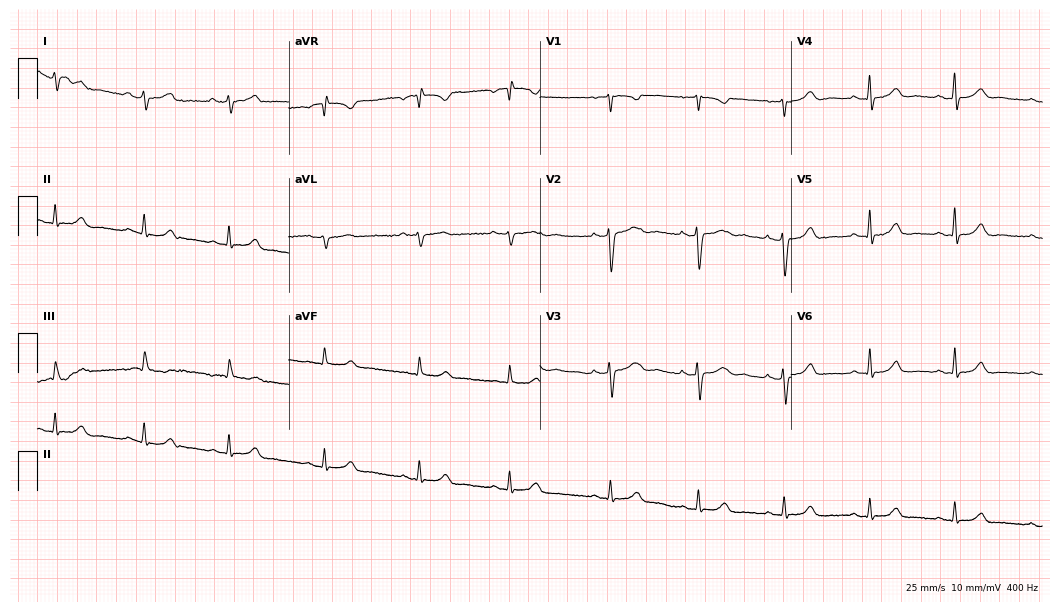
12-lead ECG (10.2-second recording at 400 Hz) from a 37-year-old woman. Screened for six findings — first-degree AV block, right bundle branch block, left bundle branch block, sinus bradycardia, atrial fibrillation, sinus tachycardia — none is recorded. Findings outside these six are not listed.